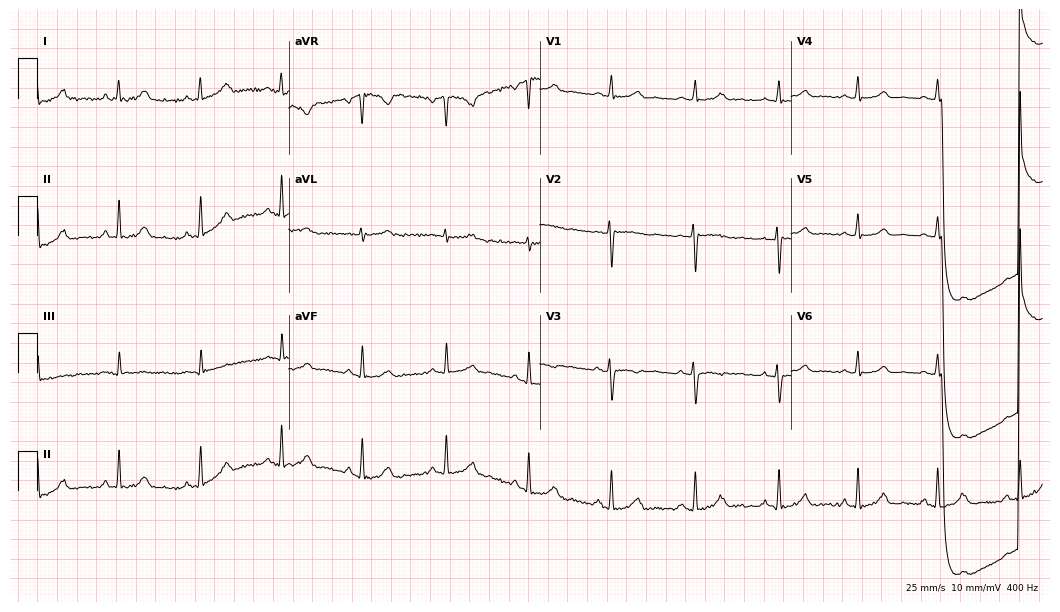
12-lead ECG (10.2-second recording at 400 Hz) from a woman, 34 years old. Labelled as a normal ECG.